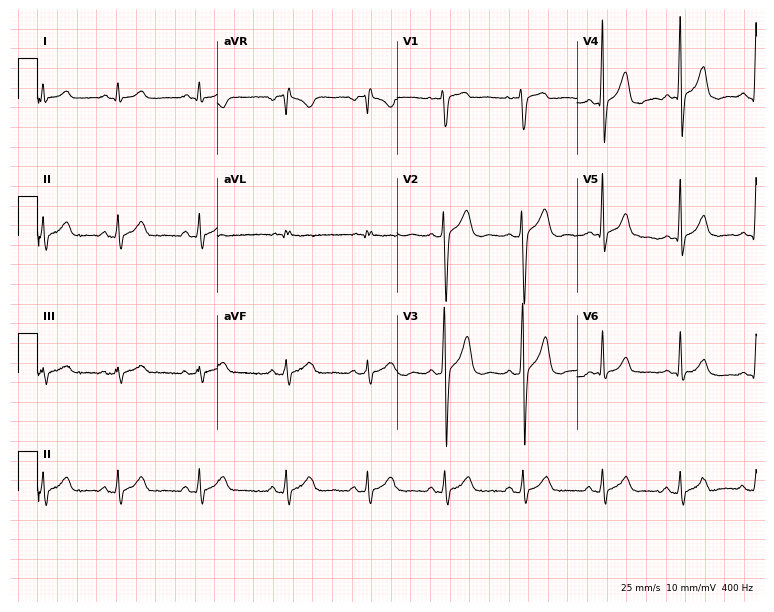
Resting 12-lead electrocardiogram (7.3-second recording at 400 Hz). Patient: a male, 18 years old. Read as a normal ECG.